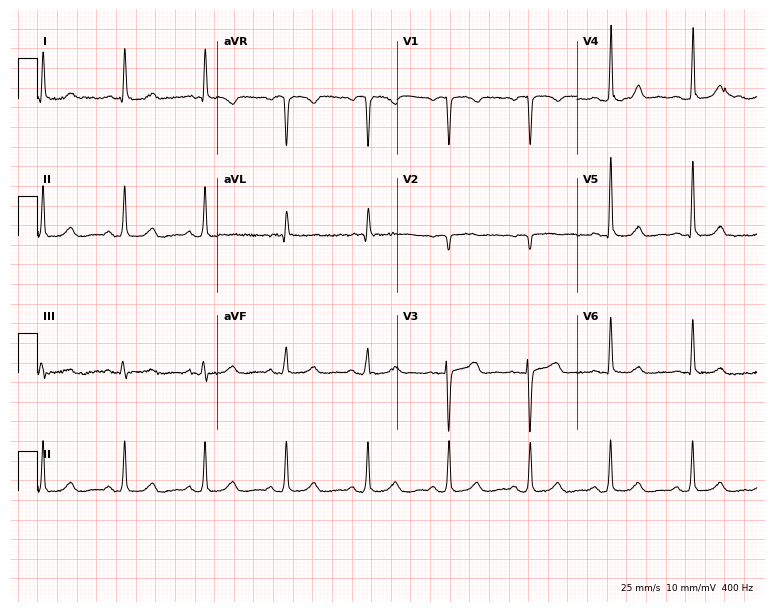
12-lead ECG from a 56-year-old female (7.3-second recording at 400 Hz). Recorded interpretation: within normal limits.